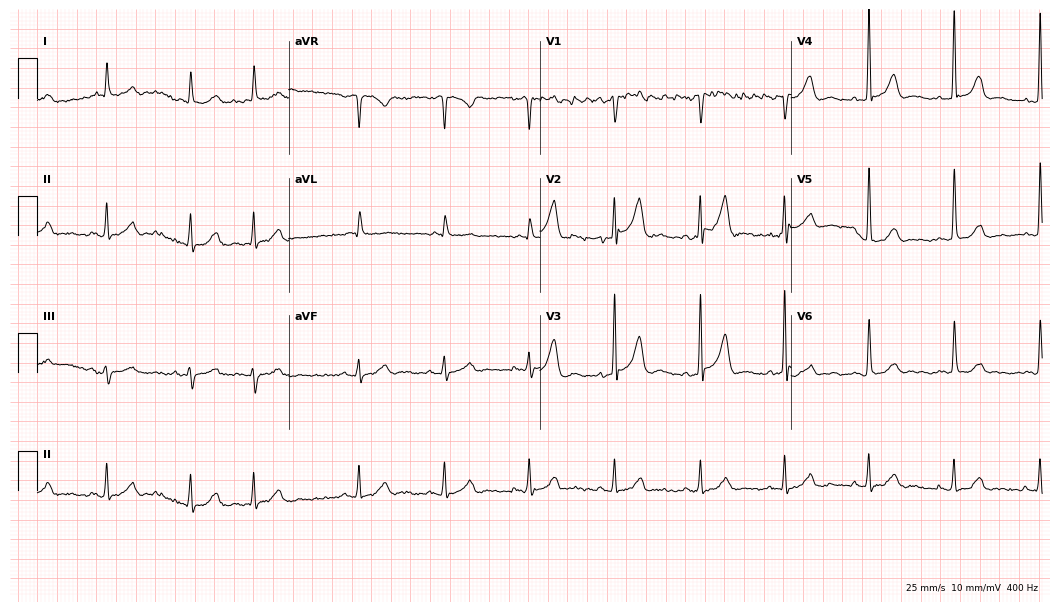
Standard 12-lead ECG recorded from a 64-year-old man (10.2-second recording at 400 Hz). The tracing shows atrial fibrillation.